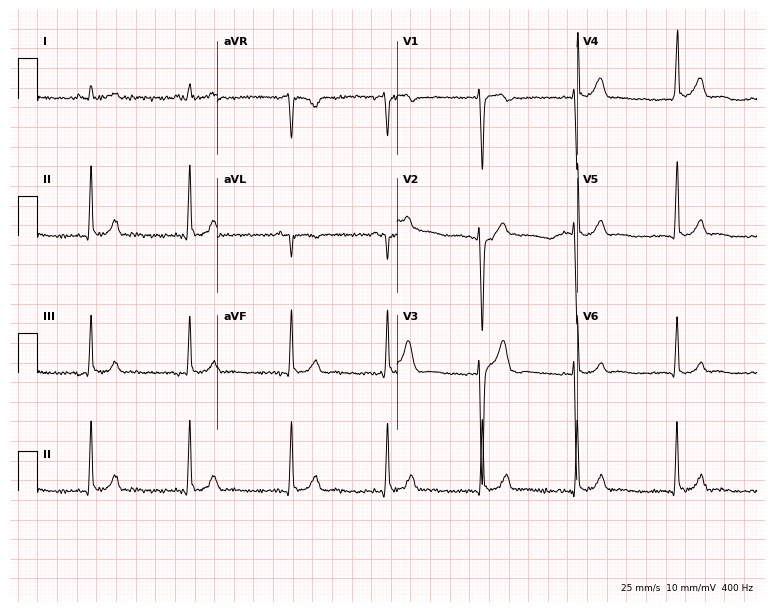
Electrocardiogram, a 27-year-old male patient. Overall reading on record: normal ECG.